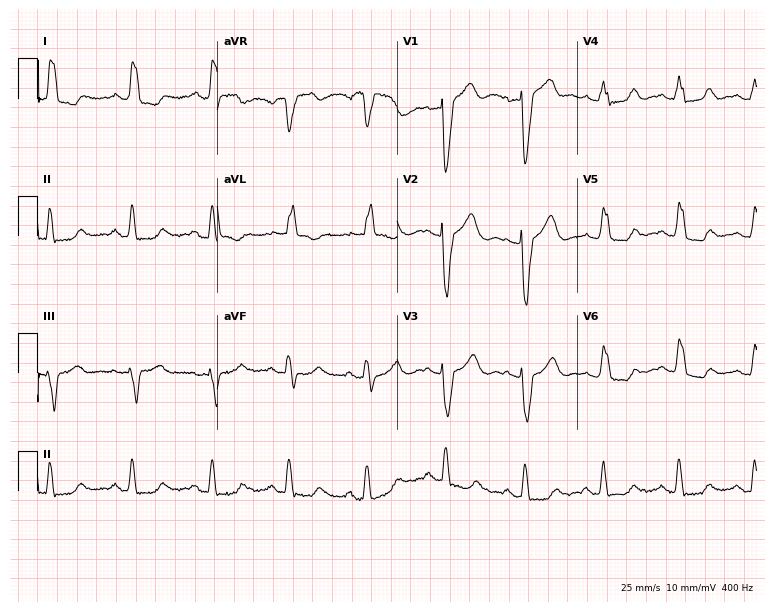
12-lead ECG from a female patient, 60 years old (7.3-second recording at 400 Hz). Shows left bundle branch block.